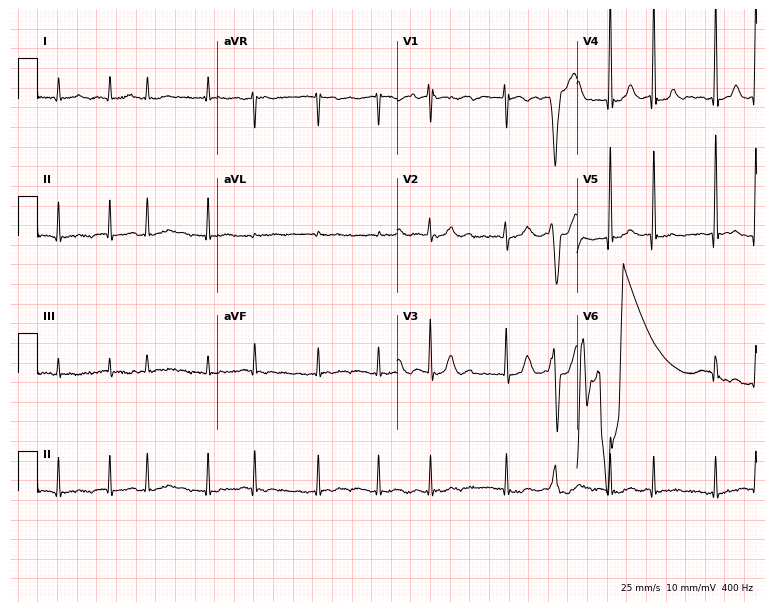
Standard 12-lead ECG recorded from a woman, 85 years old. The tracing shows atrial fibrillation.